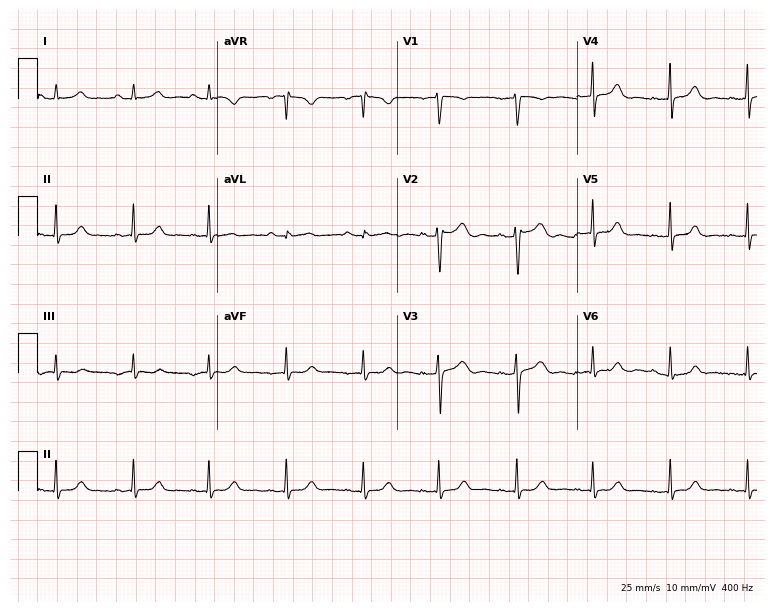
Electrocardiogram (7.3-second recording at 400 Hz), a female, 34 years old. Of the six screened findings (first-degree AV block, right bundle branch block (RBBB), left bundle branch block (LBBB), sinus bradycardia, atrial fibrillation (AF), sinus tachycardia), none is recorded.